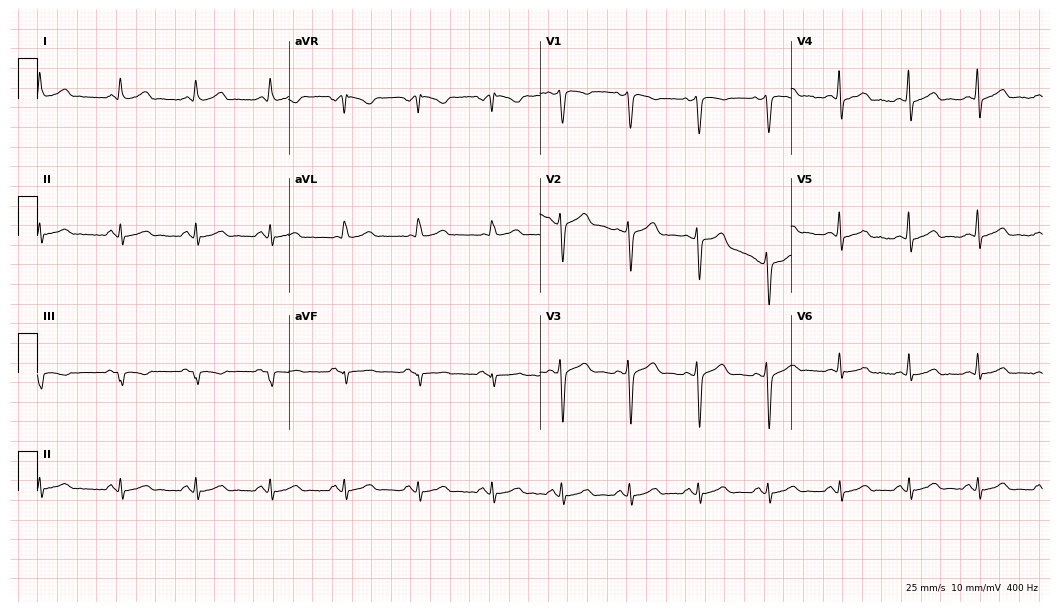
12-lead ECG from a female patient, 46 years old. Labelled as a normal ECG.